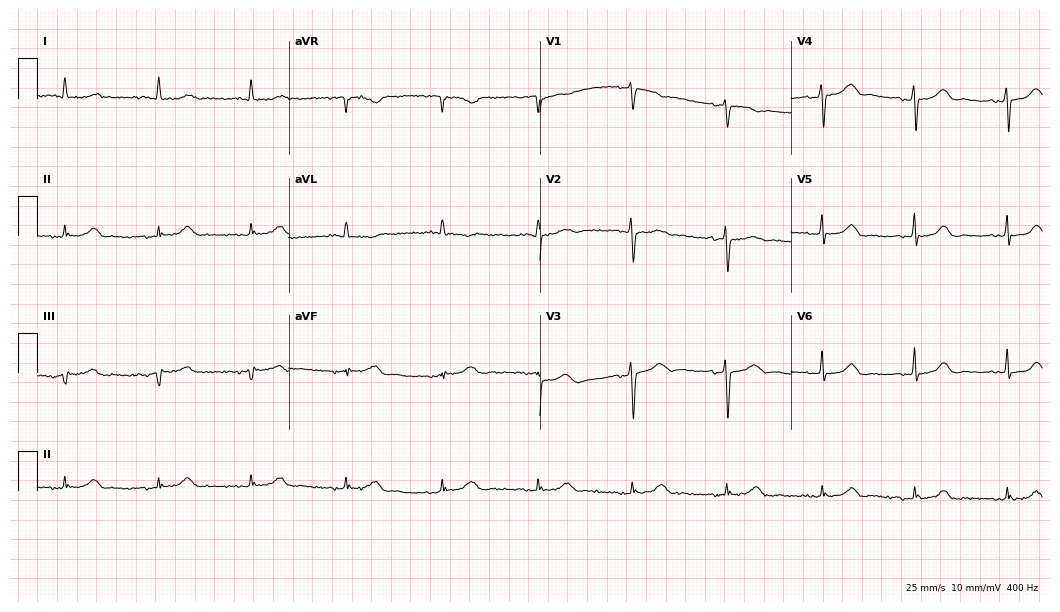
12-lead ECG (10.2-second recording at 400 Hz) from a 78-year-old female patient. Labelled as a normal ECG.